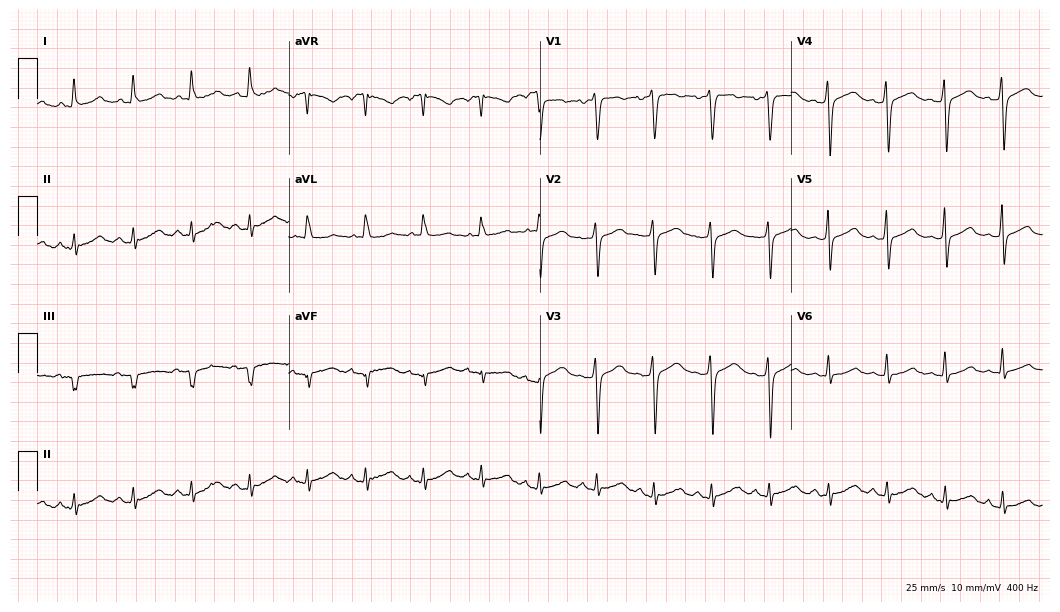
Resting 12-lead electrocardiogram. Patient: a 68-year-old female. None of these six findings is recorded: first-degree AV block, right bundle branch block, left bundle branch block, sinus bradycardia, atrial fibrillation, sinus tachycardia.